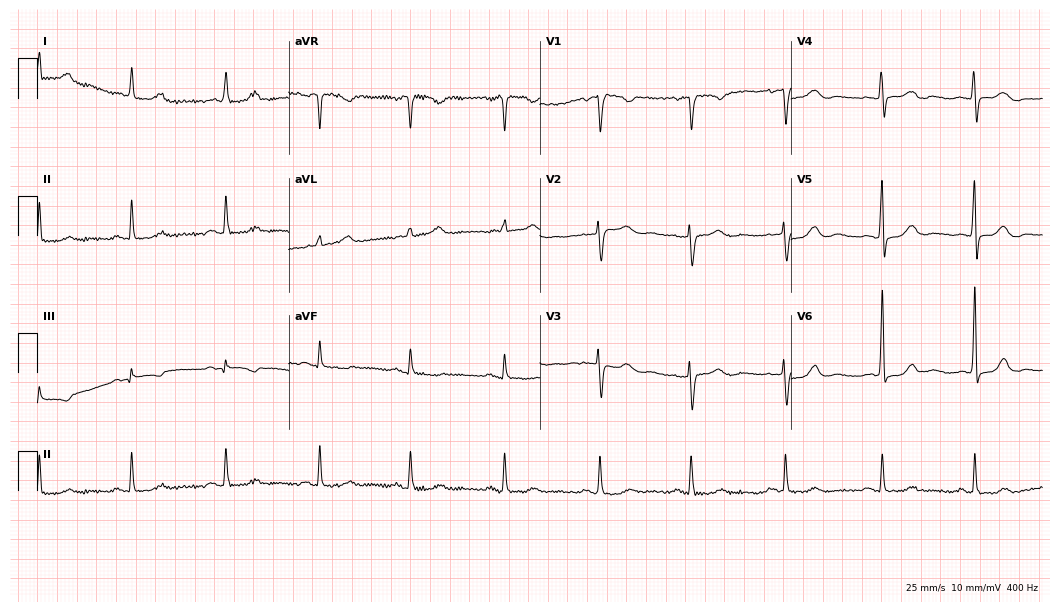
12-lead ECG from a 79-year-old woman. Recorded interpretation: within normal limits.